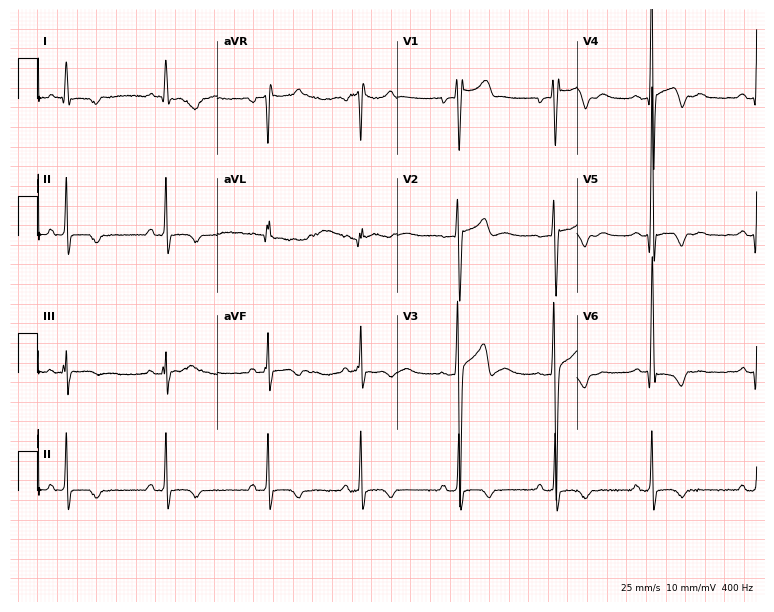
Resting 12-lead electrocardiogram. Patient: a 31-year-old man. None of these six findings is recorded: first-degree AV block, right bundle branch block (RBBB), left bundle branch block (LBBB), sinus bradycardia, atrial fibrillation (AF), sinus tachycardia. Only these six findings were labelled.